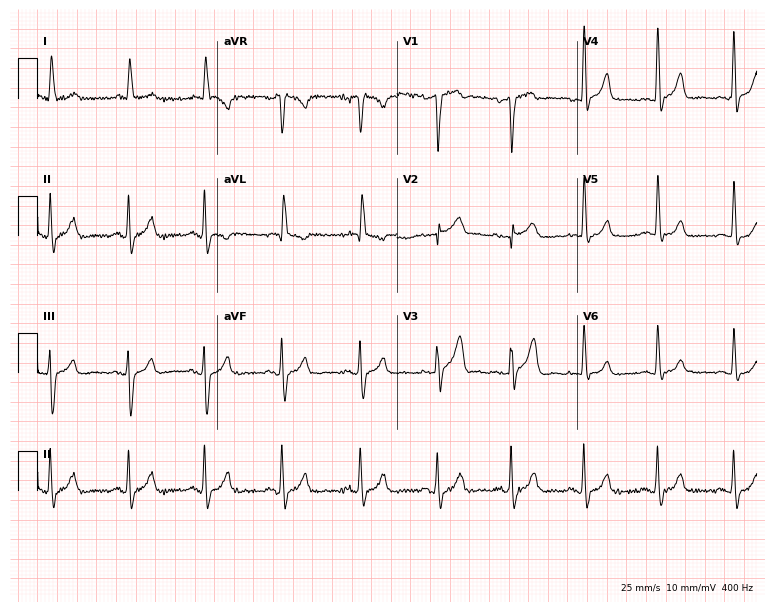
12-lead ECG from an 81-year-old male patient (7.3-second recording at 400 Hz). Recorded interpretation: within normal limits.